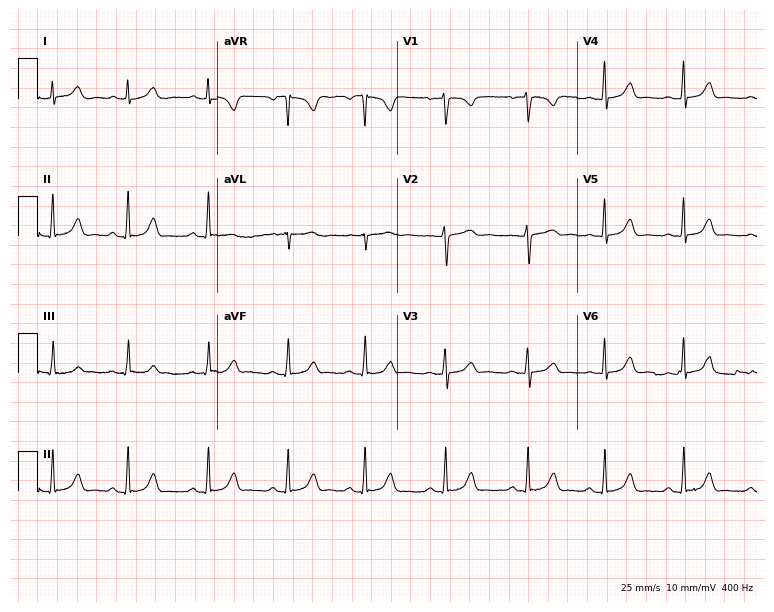
12-lead ECG from a 27-year-old female (7.3-second recording at 400 Hz). Recorded interpretation: within normal limits.